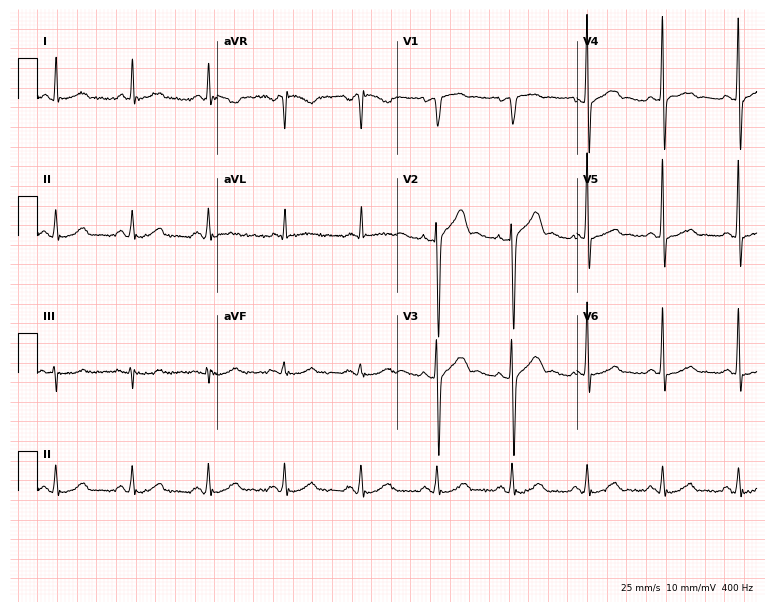
Resting 12-lead electrocardiogram (7.3-second recording at 400 Hz). Patient: a male, 60 years old. Read as a normal ECG.